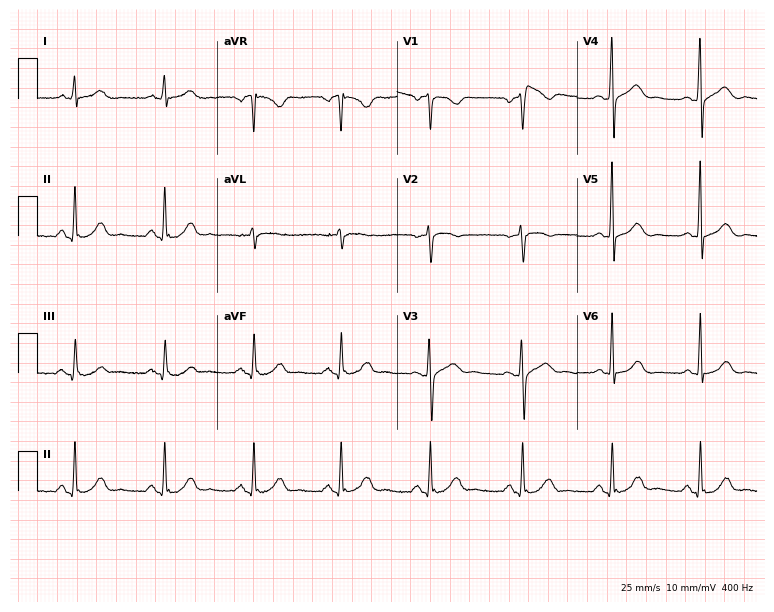
Electrocardiogram (7.3-second recording at 400 Hz), a female, 52 years old. Overall reading on record: normal ECG.